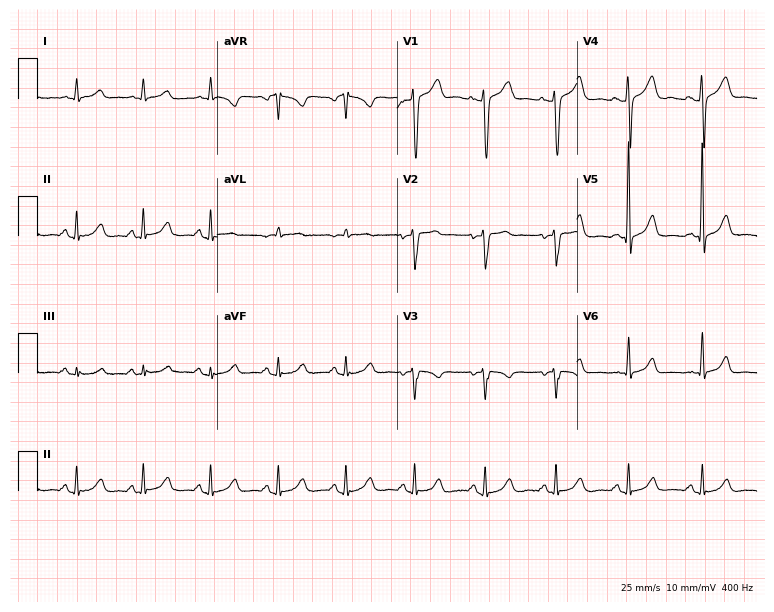
Electrocardiogram (7.3-second recording at 400 Hz), a 55-year-old female patient. Of the six screened findings (first-degree AV block, right bundle branch block, left bundle branch block, sinus bradycardia, atrial fibrillation, sinus tachycardia), none is recorded. Findings outside these six are not listed.